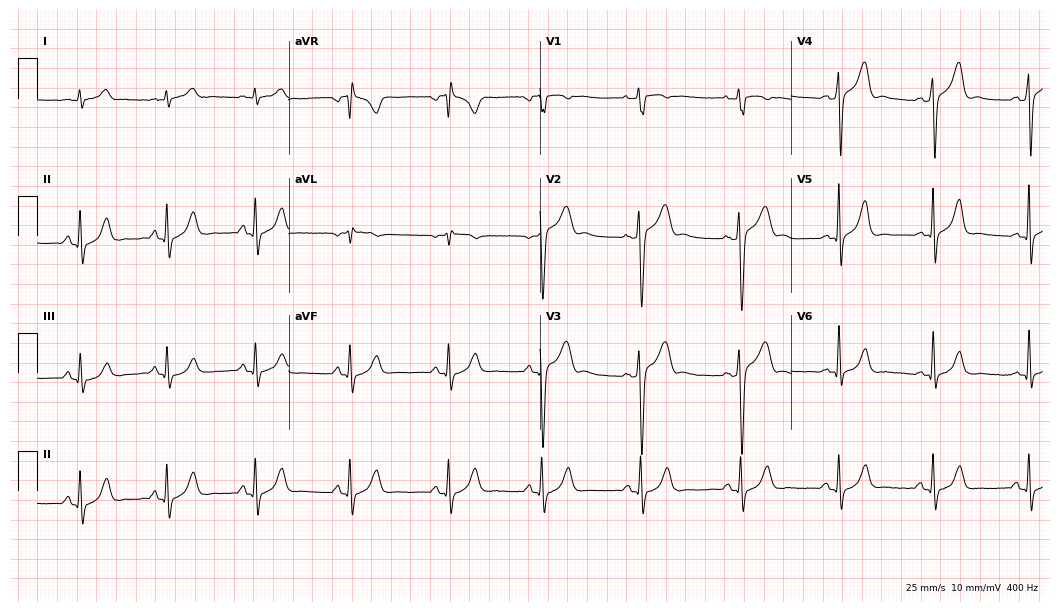
Resting 12-lead electrocardiogram. Patient: a 41-year-old male. Read as a normal ECG.